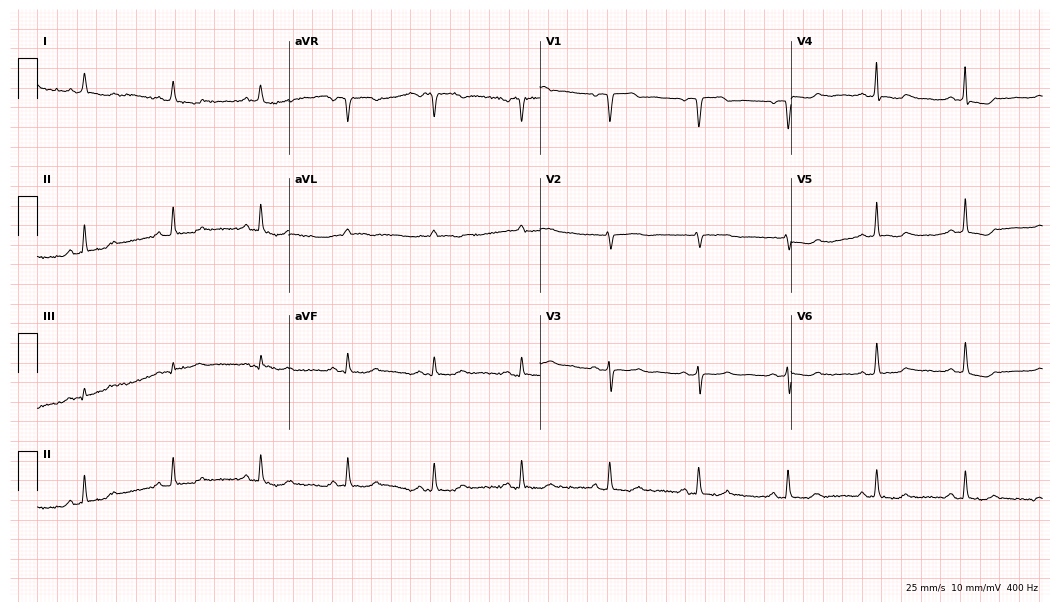
Standard 12-lead ECG recorded from a woman, 80 years old. None of these six findings is recorded: first-degree AV block, right bundle branch block (RBBB), left bundle branch block (LBBB), sinus bradycardia, atrial fibrillation (AF), sinus tachycardia. Other findings, if any, are not listed.